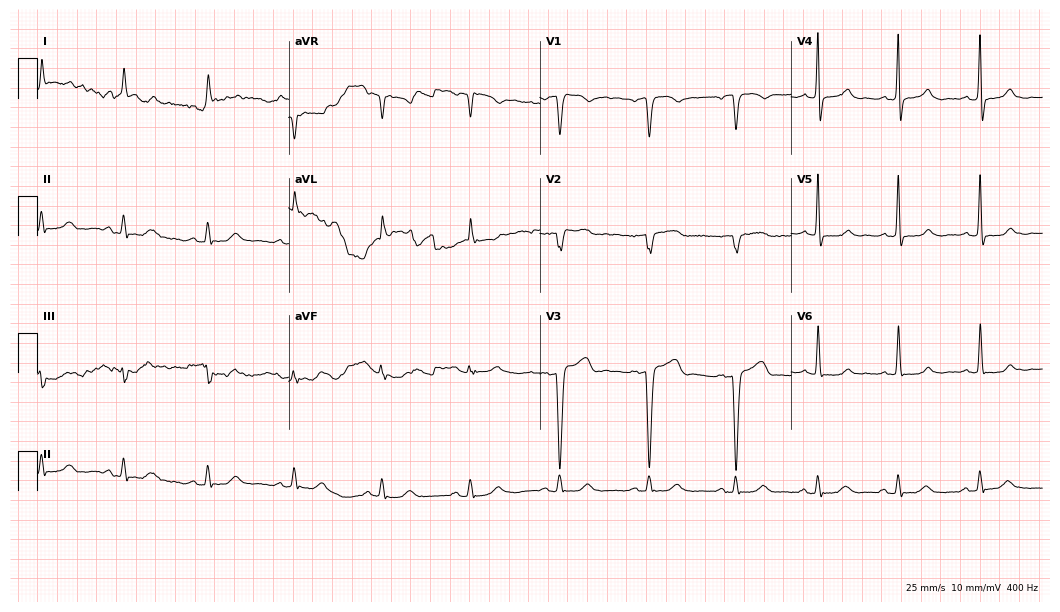
Resting 12-lead electrocardiogram. Patient: a female, 59 years old. None of these six findings is recorded: first-degree AV block, right bundle branch block, left bundle branch block, sinus bradycardia, atrial fibrillation, sinus tachycardia. Findings outside these six are not listed.